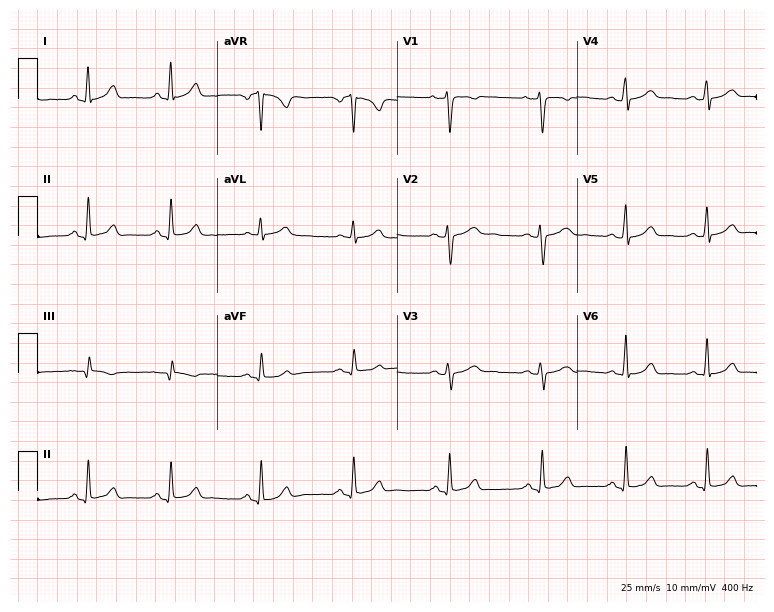
12-lead ECG from a 30-year-old woman. No first-degree AV block, right bundle branch block (RBBB), left bundle branch block (LBBB), sinus bradycardia, atrial fibrillation (AF) or sinus tachycardia recorded for this tracing. Findings outside these six are not listed.